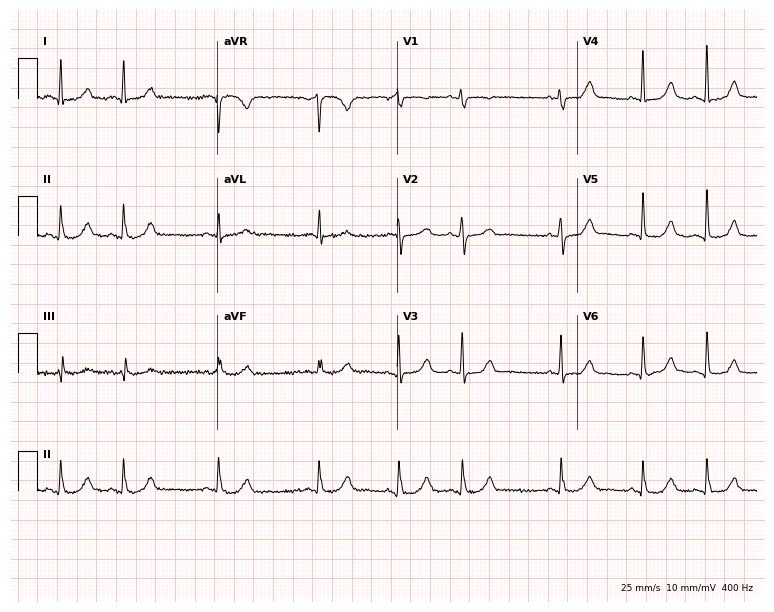
12-lead ECG from a female patient, 72 years old. Recorded interpretation: within normal limits.